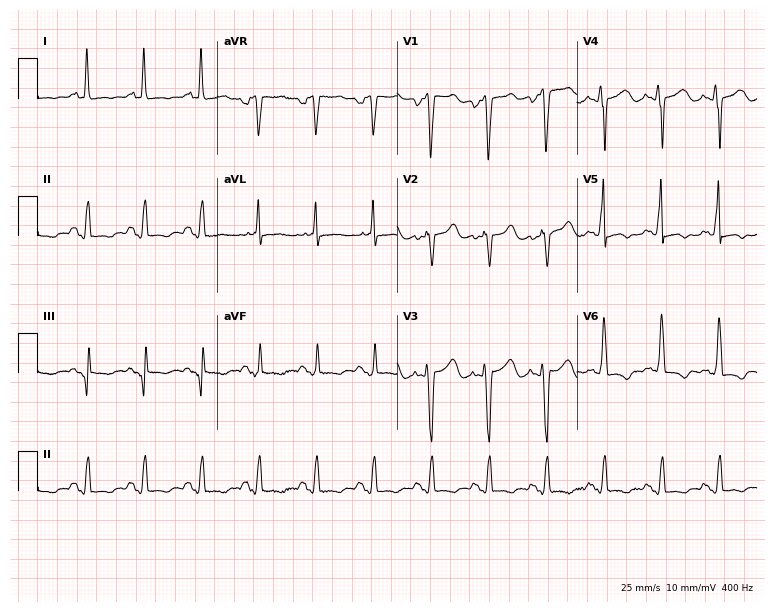
Standard 12-lead ECG recorded from a man, 57 years old. None of these six findings is recorded: first-degree AV block, right bundle branch block (RBBB), left bundle branch block (LBBB), sinus bradycardia, atrial fibrillation (AF), sinus tachycardia.